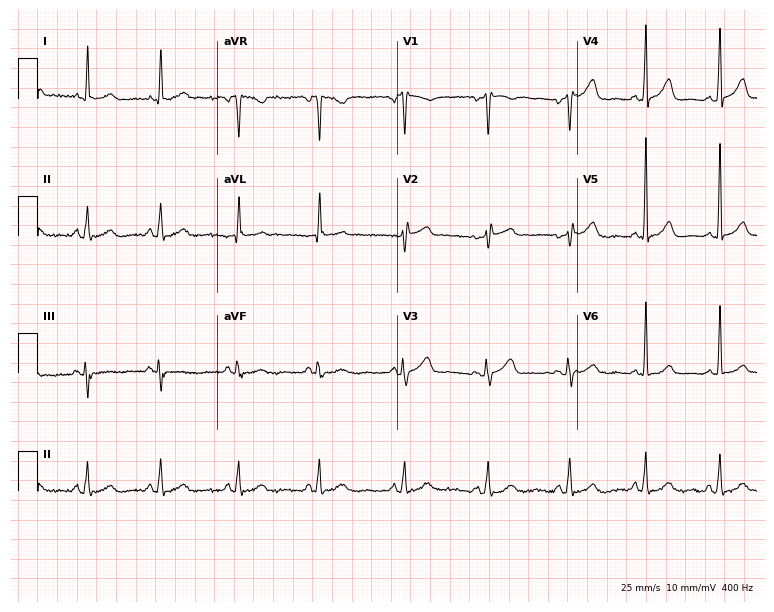
ECG (7.3-second recording at 400 Hz) — a female patient, 62 years old. Screened for six findings — first-degree AV block, right bundle branch block, left bundle branch block, sinus bradycardia, atrial fibrillation, sinus tachycardia — none is recorded. Other findings, if any, are not listed.